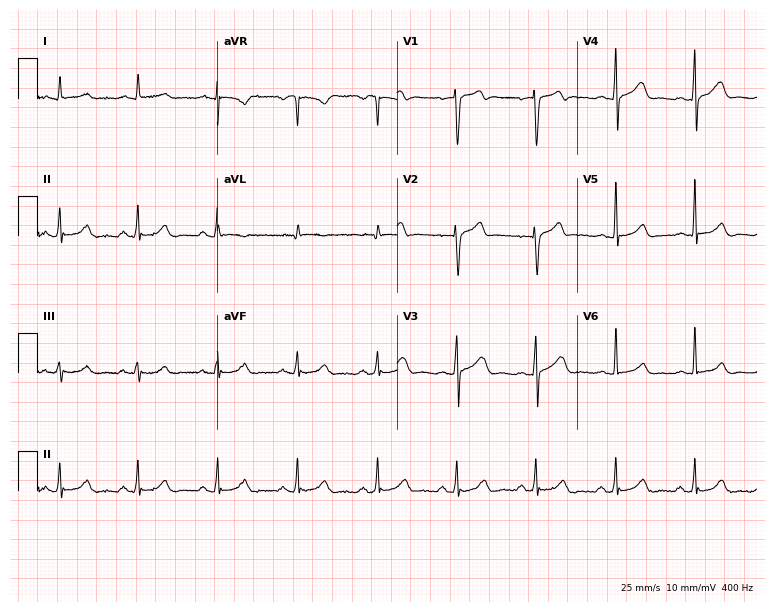
12-lead ECG from a 51-year-old man. Labelled as a normal ECG.